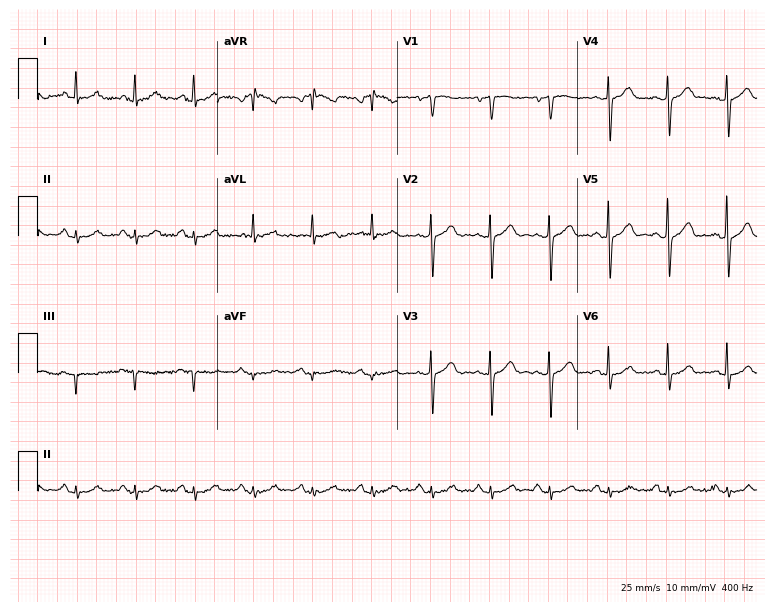
Resting 12-lead electrocardiogram (7.3-second recording at 400 Hz). Patient: a male, 74 years old. None of these six findings is recorded: first-degree AV block, right bundle branch block, left bundle branch block, sinus bradycardia, atrial fibrillation, sinus tachycardia. Only these six findings were labelled.